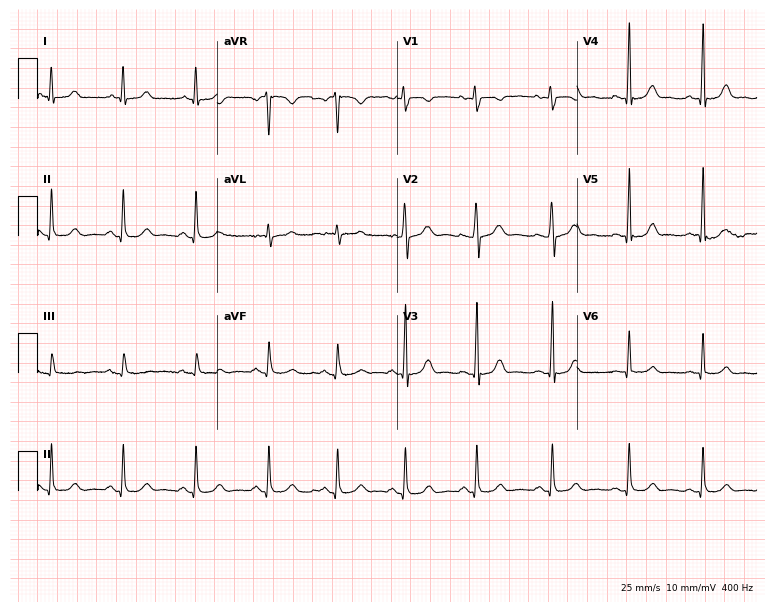
Resting 12-lead electrocardiogram (7.3-second recording at 400 Hz). Patient: a 32-year-old female. None of these six findings is recorded: first-degree AV block, right bundle branch block, left bundle branch block, sinus bradycardia, atrial fibrillation, sinus tachycardia. Only these six findings were labelled.